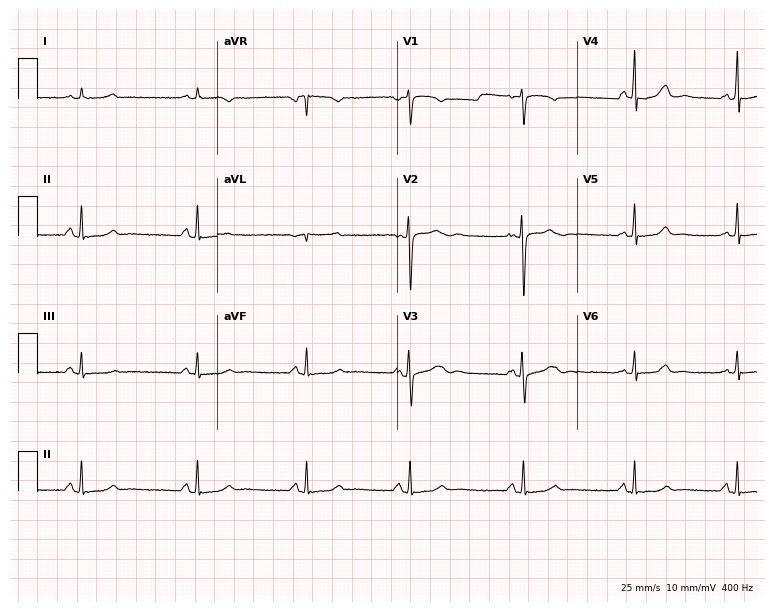
Resting 12-lead electrocardiogram. Patient: a female, 24 years old. Read as a normal ECG.